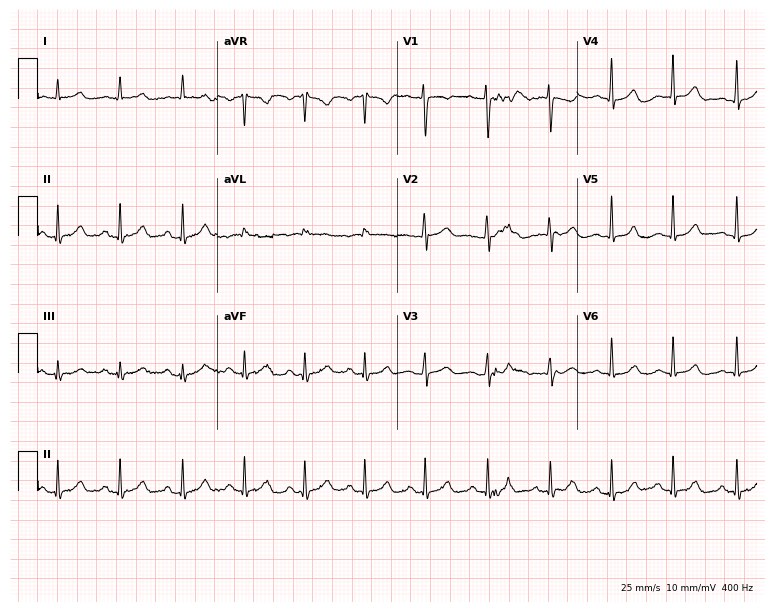
Resting 12-lead electrocardiogram (7.3-second recording at 400 Hz). Patient: a female, 24 years old. Read as a normal ECG.